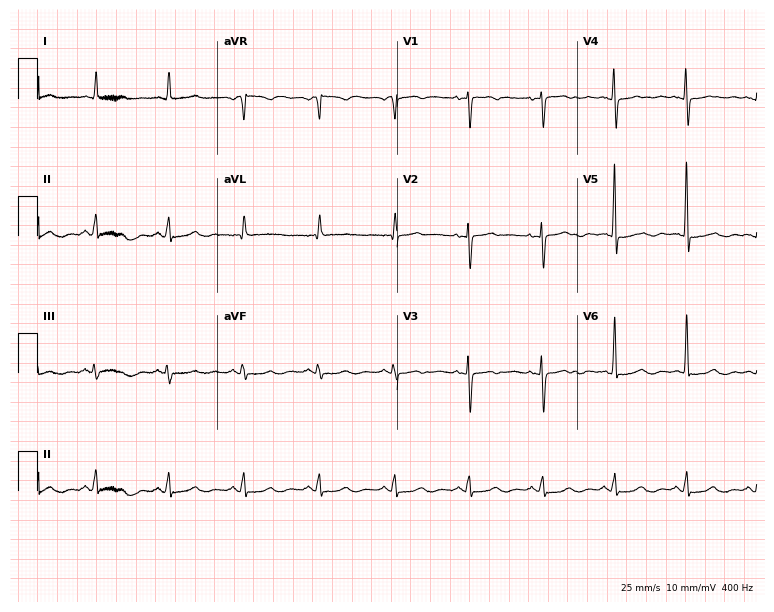
12-lead ECG (7.3-second recording at 400 Hz) from a 67-year-old female patient. Screened for six findings — first-degree AV block, right bundle branch block, left bundle branch block, sinus bradycardia, atrial fibrillation, sinus tachycardia — none is recorded. Other findings, if any, are not listed.